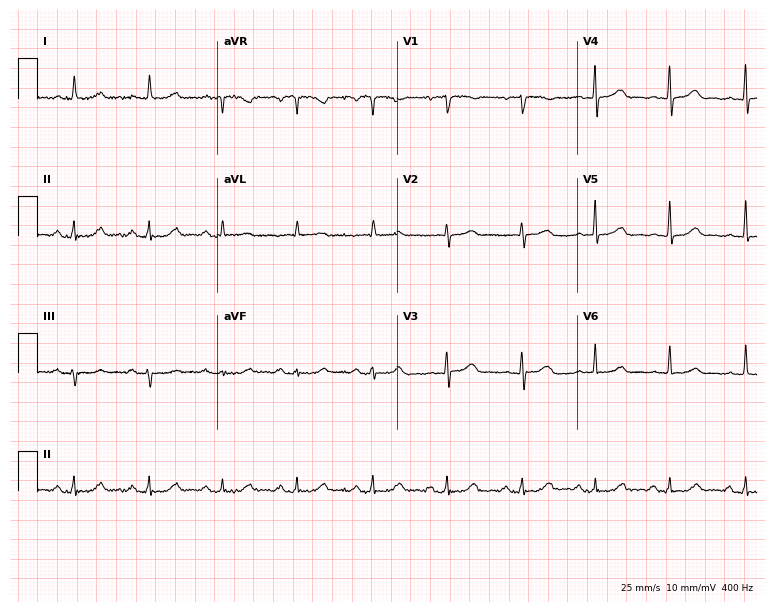
12-lead ECG from a woman, 76 years old. No first-degree AV block, right bundle branch block, left bundle branch block, sinus bradycardia, atrial fibrillation or sinus tachycardia recorded for this tracing. Other findings, if any, are not listed.